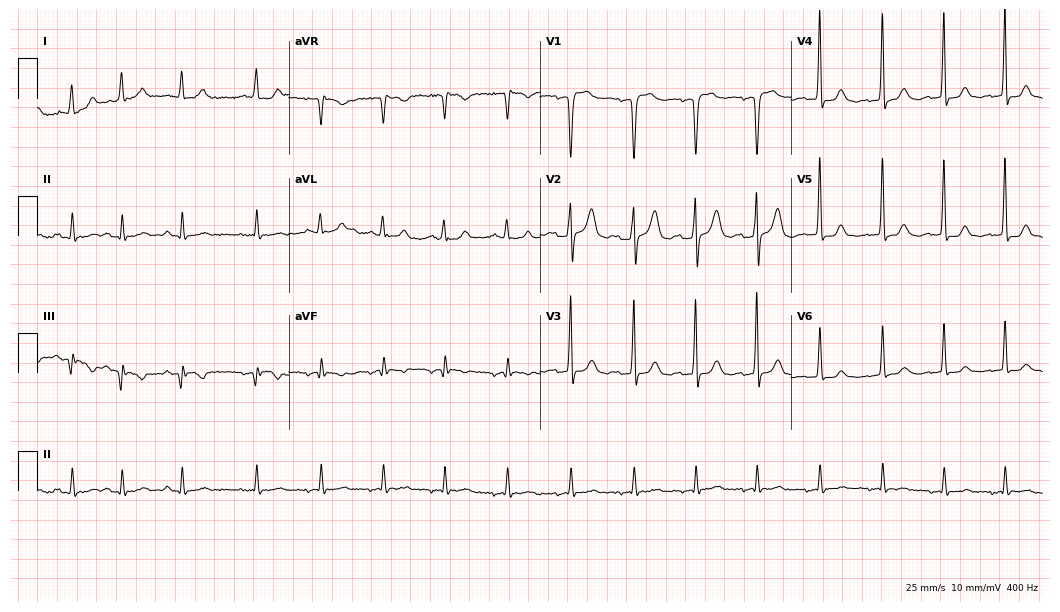
ECG (10.2-second recording at 400 Hz) — a female patient, 83 years old. Labelled as a normal ECG.